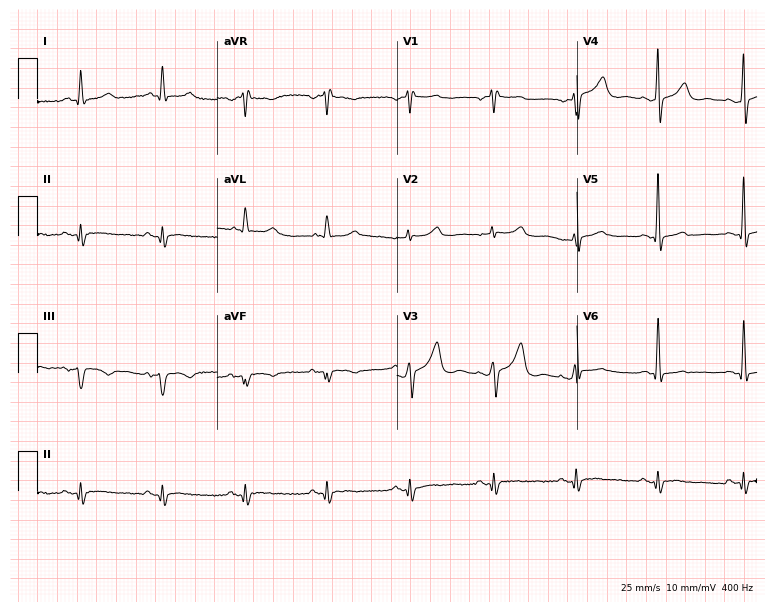
Standard 12-lead ECG recorded from a female, 59 years old (7.3-second recording at 400 Hz). None of these six findings is recorded: first-degree AV block, right bundle branch block, left bundle branch block, sinus bradycardia, atrial fibrillation, sinus tachycardia. Other findings, if any, are not listed.